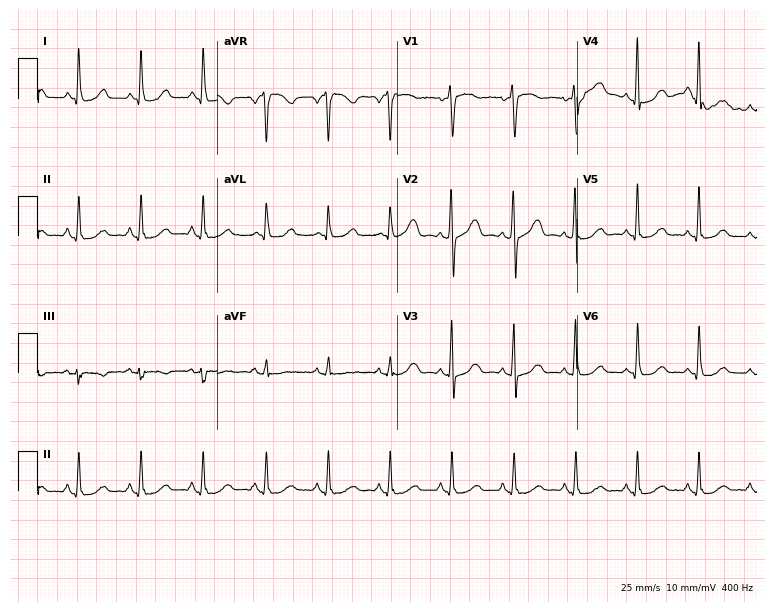
Standard 12-lead ECG recorded from a 52-year-old female (7.3-second recording at 400 Hz). Read as a normal ECG.